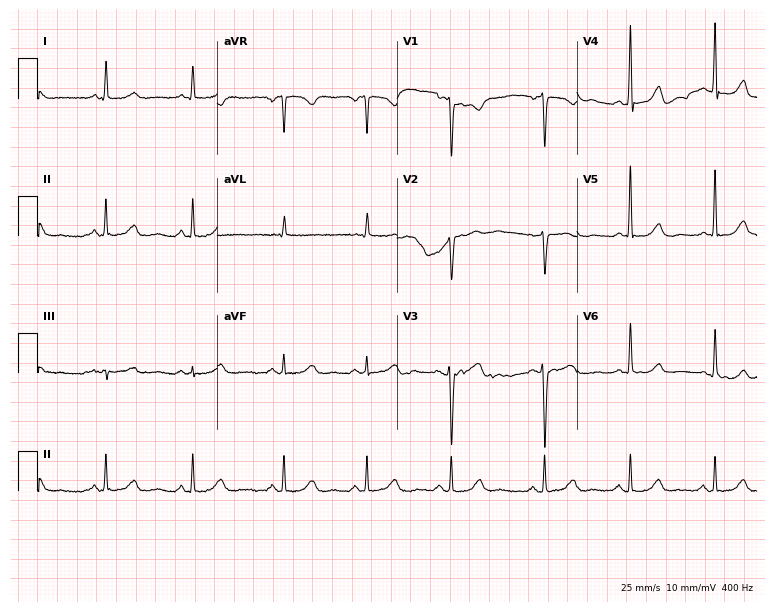
Standard 12-lead ECG recorded from a female patient, 51 years old. None of these six findings is recorded: first-degree AV block, right bundle branch block, left bundle branch block, sinus bradycardia, atrial fibrillation, sinus tachycardia. Other findings, if any, are not listed.